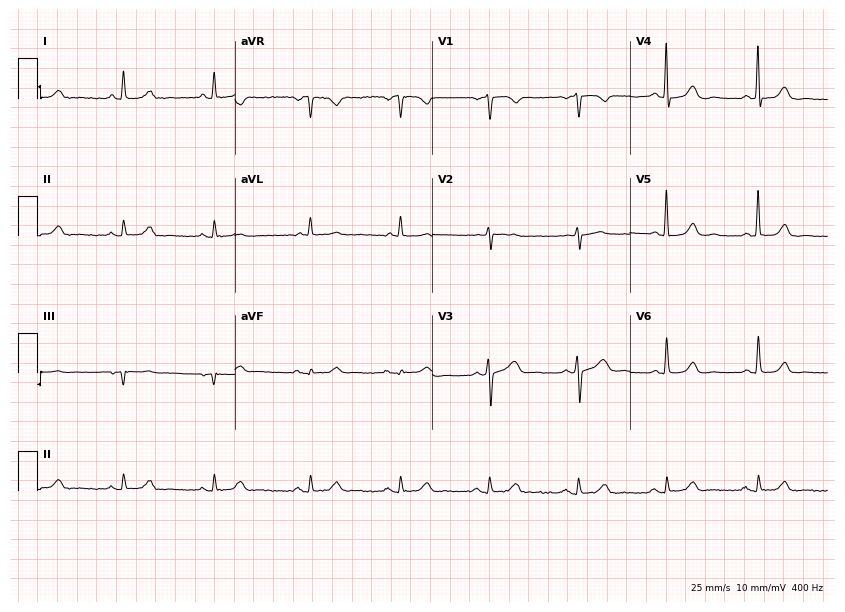
Resting 12-lead electrocardiogram (8.1-second recording at 400 Hz). Patient: a 64-year-old woman. Read as a normal ECG.